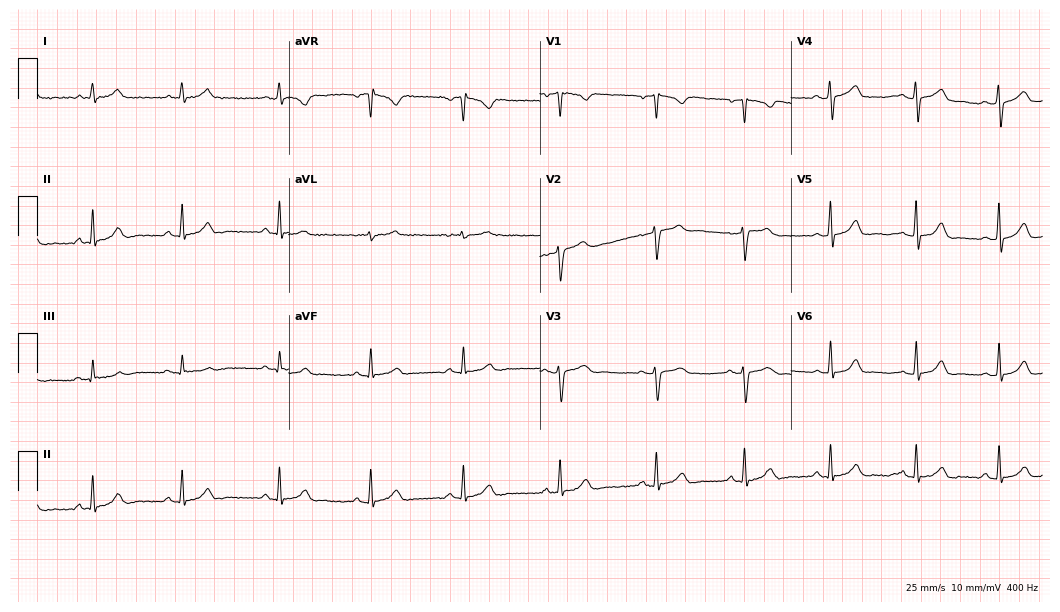
Standard 12-lead ECG recorded from a woman, 34 years old (10.2-second recording at 400 Hz). Read as a normal ECG.